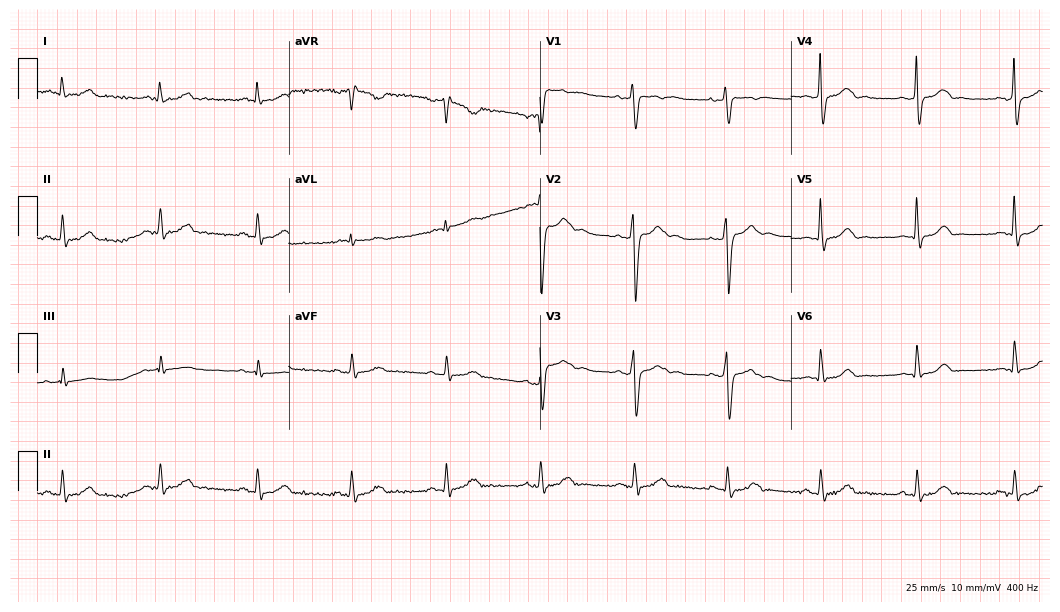
Standard 12-lead ECG recorded from a 42-year-old male. None of these six findings is recorded: first-degree AV block, right bundle branch block (RBBB), left bundle branch block (LBBB), sinus bradycardia, atrial fibrillation (AF), sinus tachycardia.